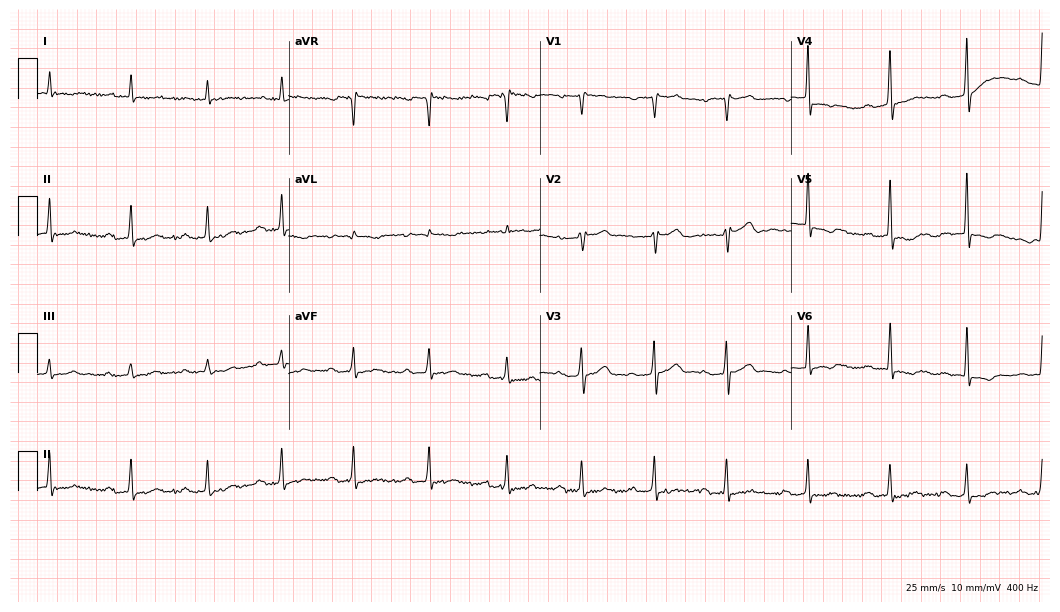
Standard 12-lead ECG recorded from a 71-year-old man (10.2-second recording at 400 Hz). None of these six findings is recorded: first-degree AV block, right bundle branch block, left bundle branch block, sinus bradycardia, atrial fibrillation, sinus tachycardia. Findings outside these six are not listed.